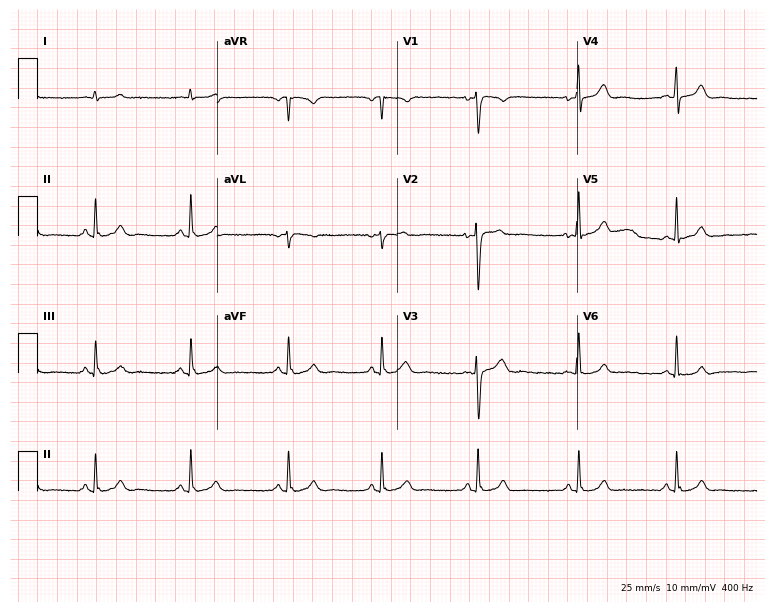
Standard 12-lead ECG recorded from a female patient, 30 years old (7.3-second recording at 400 Hz). None of these six findings is recorded: first-degree AV block, right bundle branch block, left bundle branch block, sinus bradycardia, atrial fibrillation, sinus tachycardia.